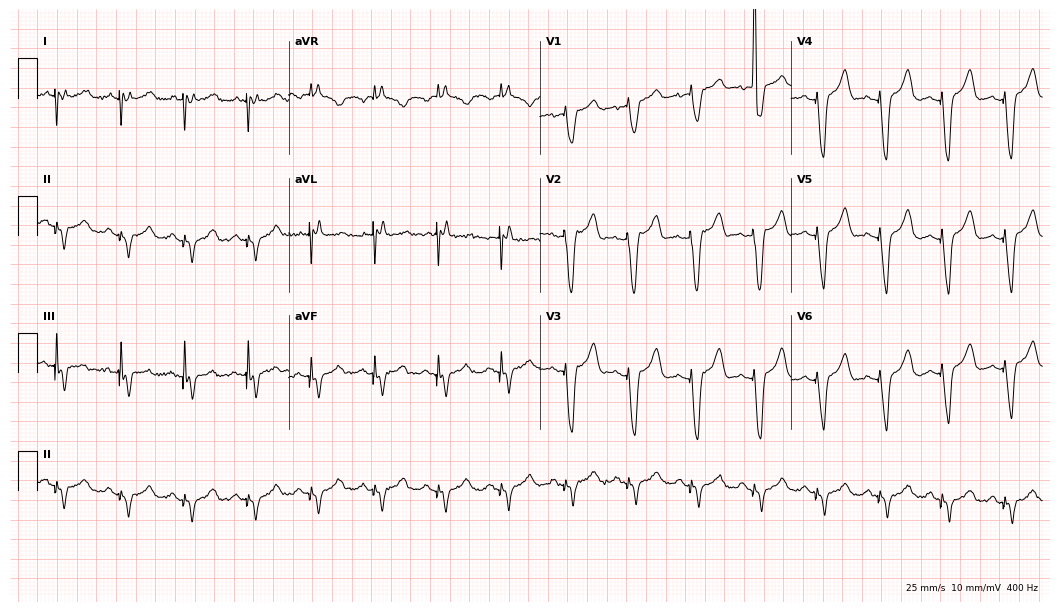
12-lead ECG from an 85-year-old woman. No first-degree AV block, right bundle branch block, left bundle branch block, sinus bradycardia, atrial fibrillation or sinus tachycardia recorded for this tracing.